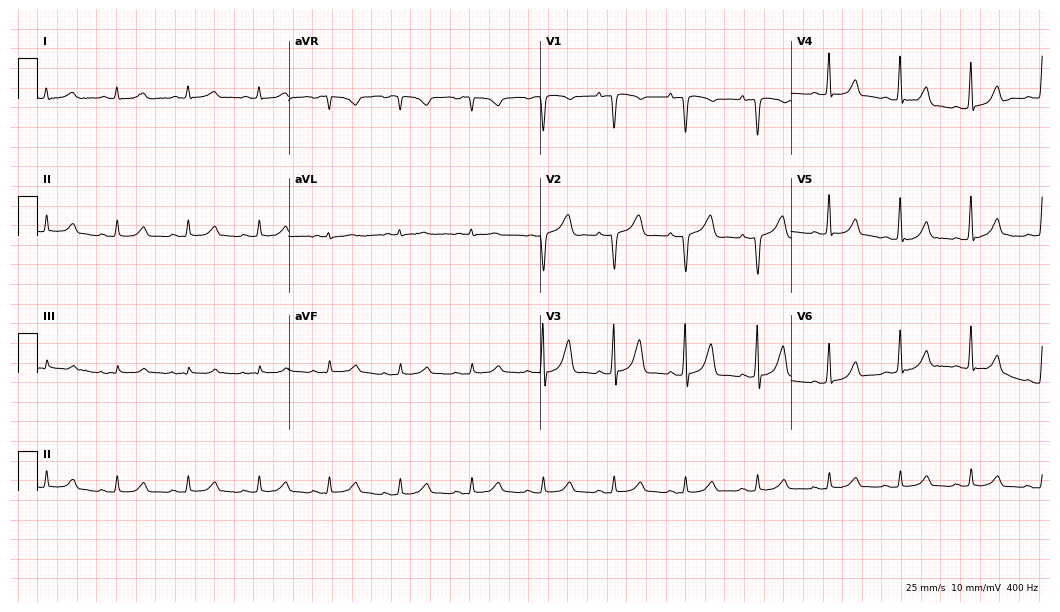
12-lead ECG from a female patient, 69 years old. Screened for six findings — first-degree AV block, right bundle branch block, left bundle branch block, sinus bradycardia, atrial fibrillation, sinus tachycardia — none is recorded.